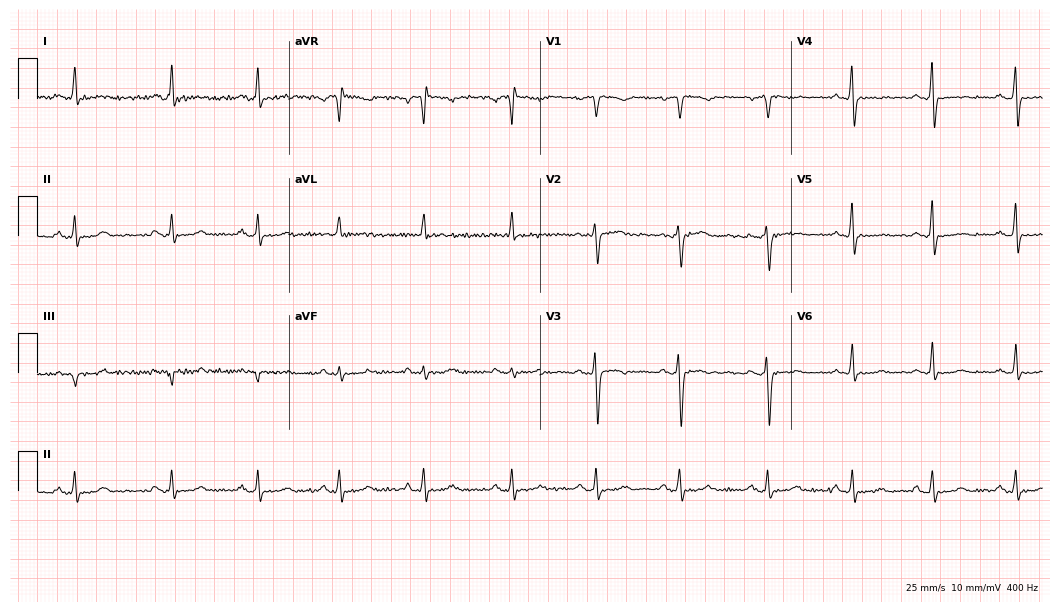
12-lead ECG from a 29-year-old woman. No first-degree AV block, right bundle branch block, left bundle branch block, sinus bradycardia, atrial fibrillation or sinus tachycardia recorded for this tracing.